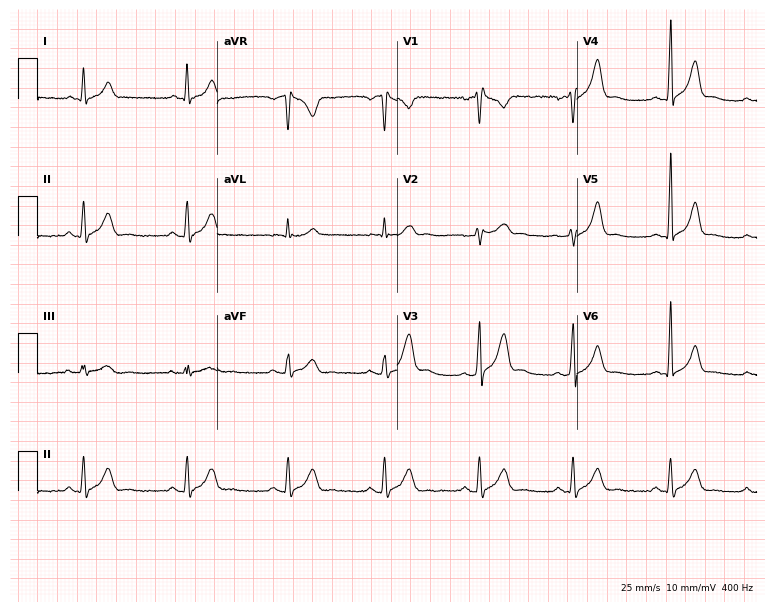
12-lead ECG from a male patient, 35 years old. Recorded interpretation: within normal limits.